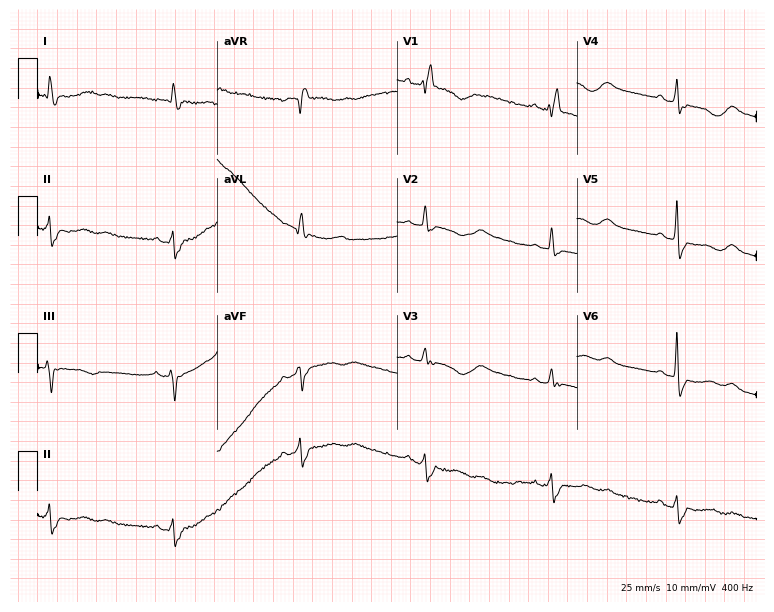
12-lead ECG from a female patient, 68 years old. Findings include right bundle branch block.